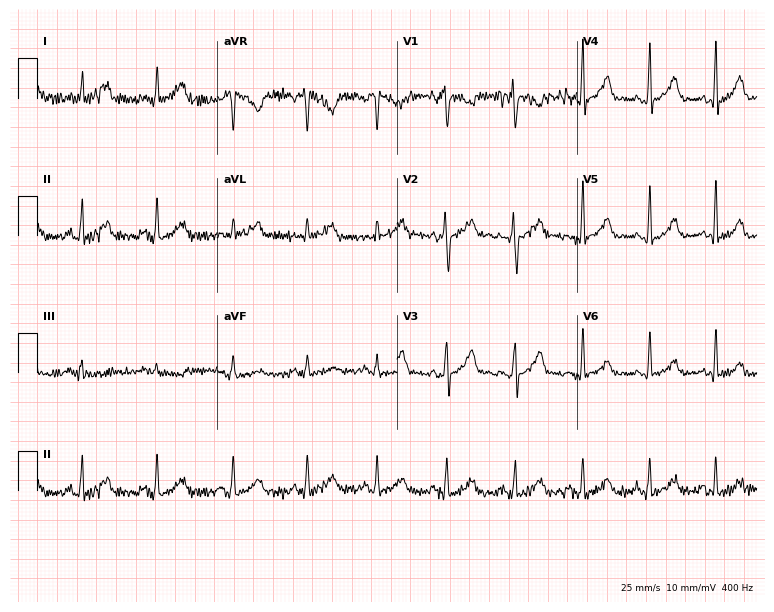
Standard 12-lead ECG recorded from a female, 30 years old. None of these six findings is recorded: first-degree AV block, right bundle branch block (RBBB), left bundle branch block (LBBB), sinus bradycardia, atrial fibrillation (AF), sinus tachycardia. Findings outside these six are not listed.